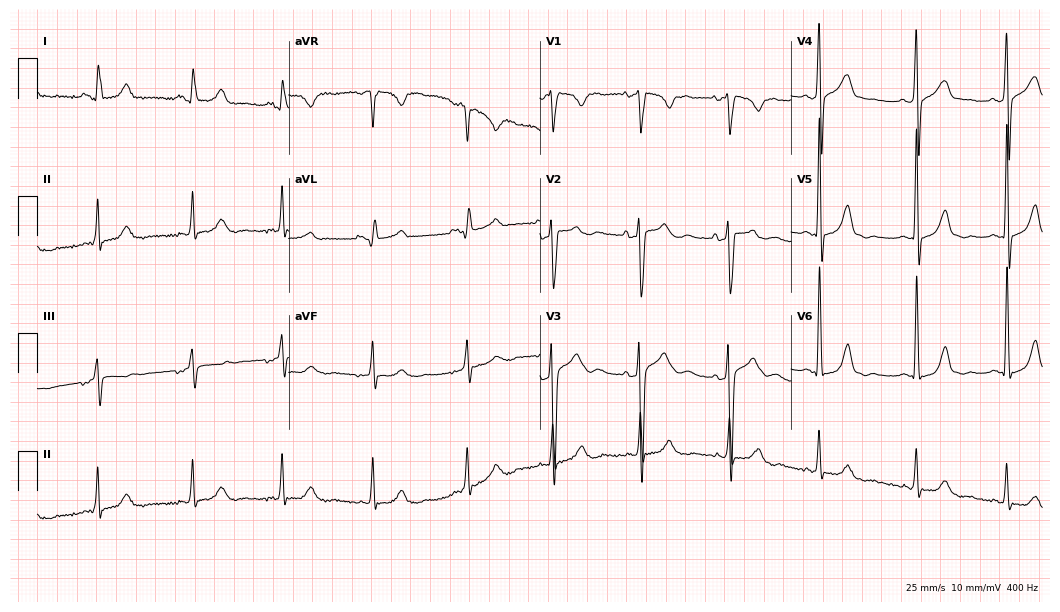
Resting 12-lead electrocardiogram (10.2-second recording at 400 Hz). Patient: a 36-year-old female. Read as a normal ECG.